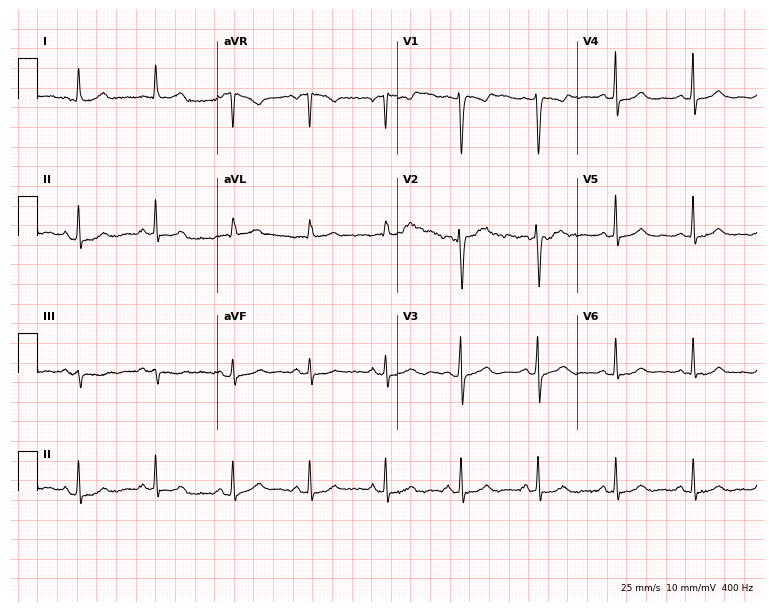
ECG — a 52-year-old female. Labelled as a normal ECG.